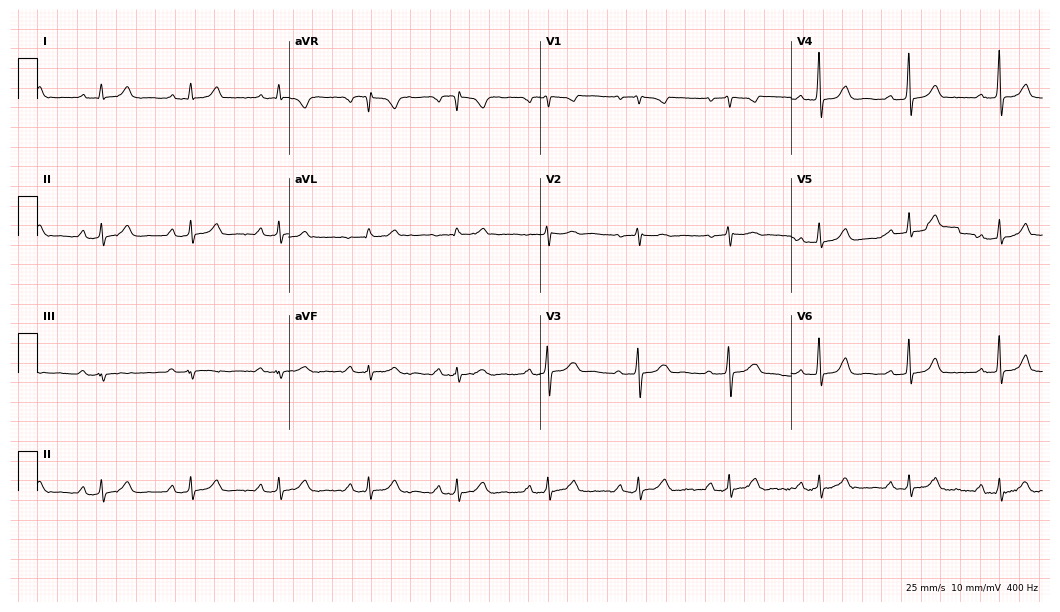
Standard 12-lead ECG recorded from a 43-year-old female (10.2-second recording at 400 Hz). The tracing shows first-degree AV block.